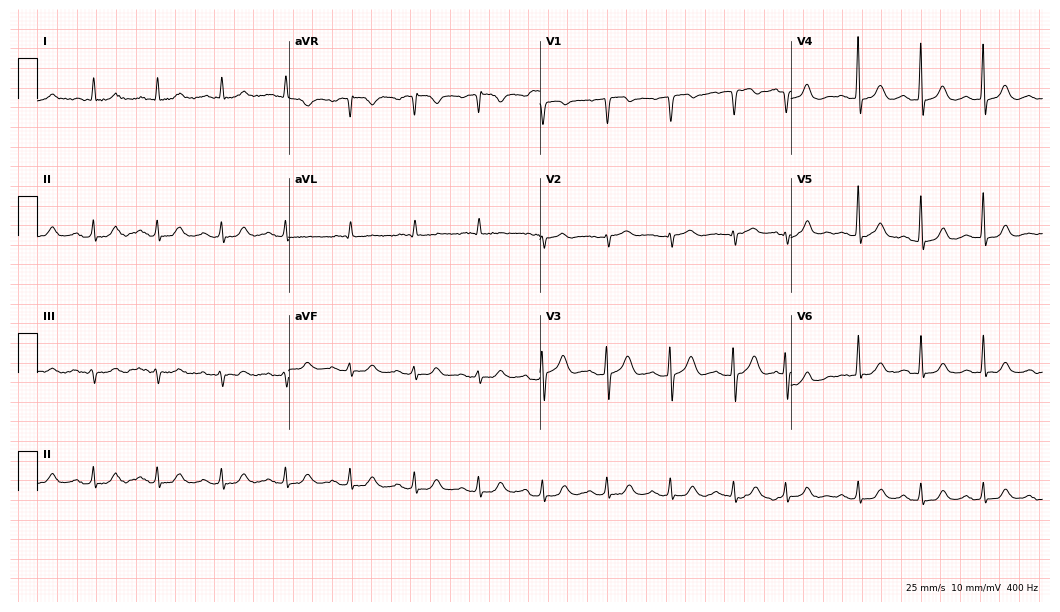
Standard 12-lead ECG recorded from a male patient, 83 years old. Read as a normal ECG.